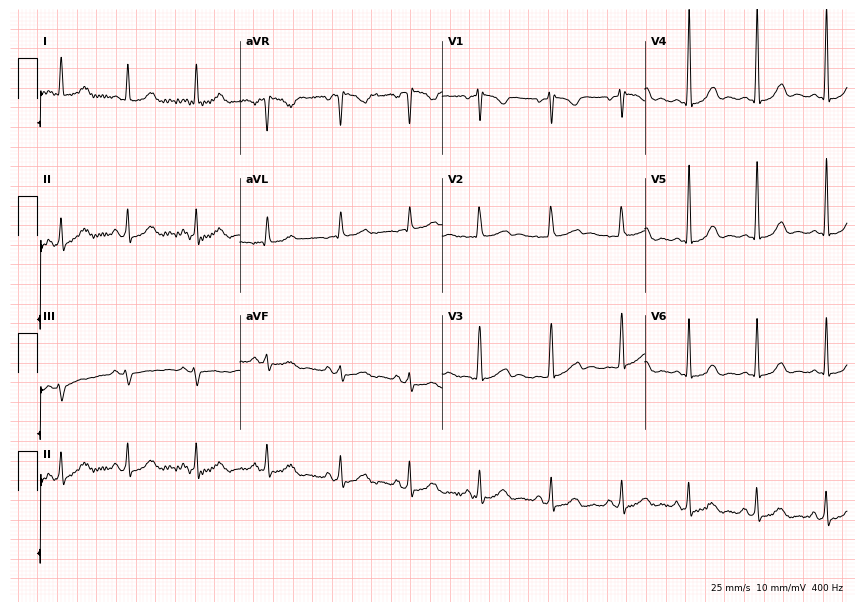
Electrocardiogram, a female patient, 31 years old. Of the six screened findings (first-degree AV block, right bundle branch block (RBBB), left bundle branch block (LBBB), sinus bradycardia, atrial fibrillation (AF), sinus tachycardia), none is recorded. Other findings, if any, are not listed.